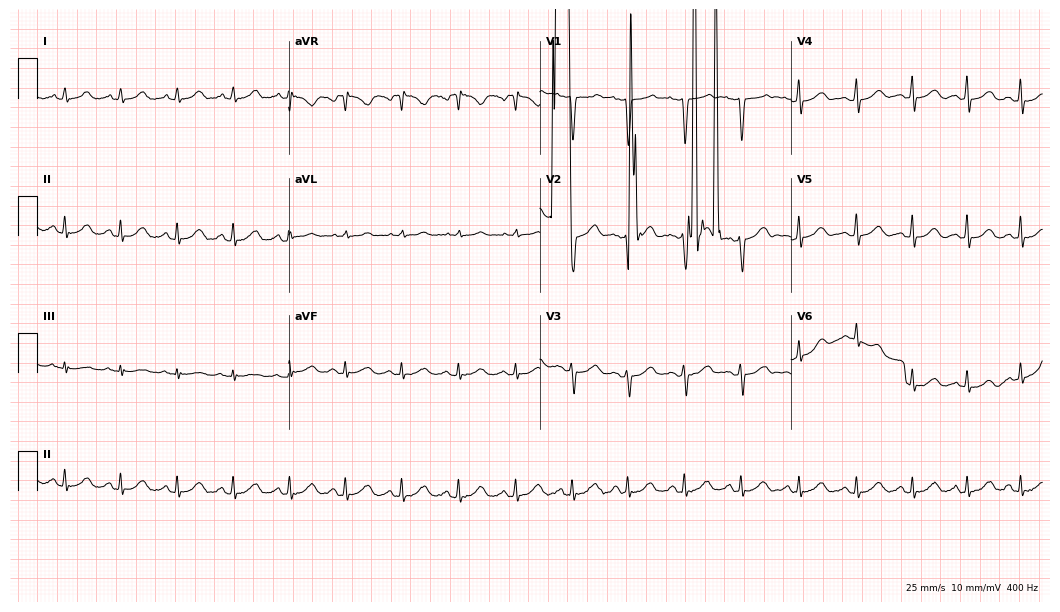
ECG — a female patient, 36 years old. Screened for six findings — first-degree AV block, right bundle branch block, left bundle branch block, sinus bradycardia, atrial fibrillation, sinus tachycardia — none is recorded. Other findings, if any, are not listed.